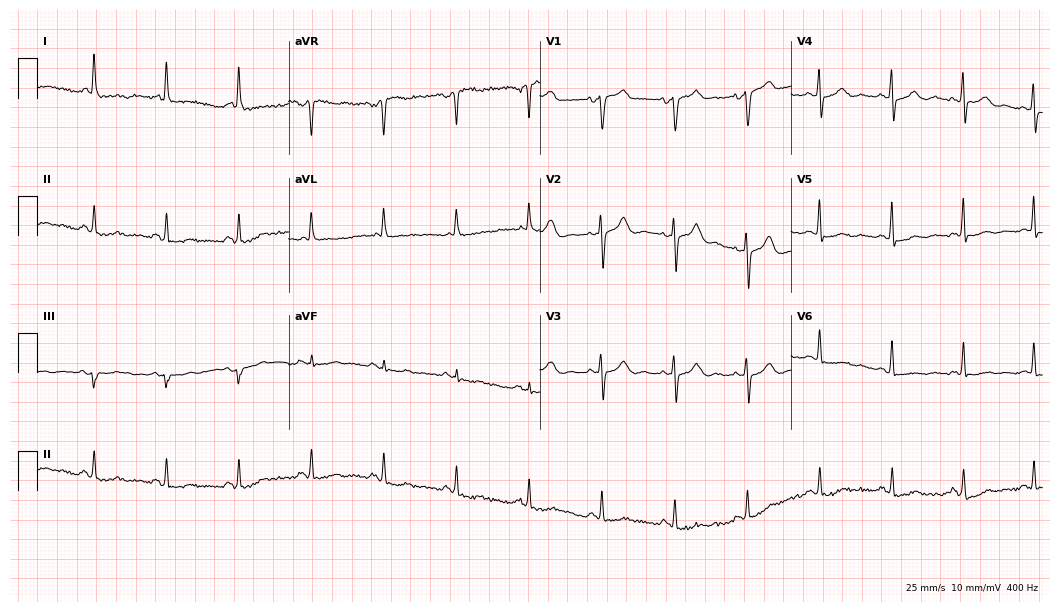
Resting 12-lead electrocardiogram (10.2-second recording at 400 Hz). Patient: an 84-year-old man. Read as a normal ECG.